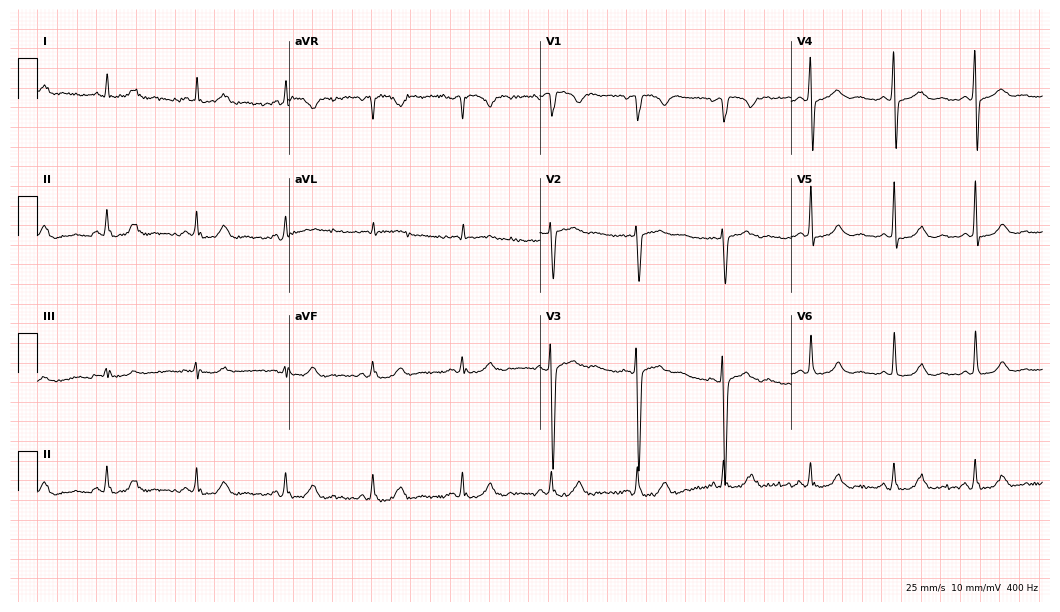
12-lead ECG (10.2-second recording at 400 Hz) from a 32-year-old male. Labelled as a normal ECG.